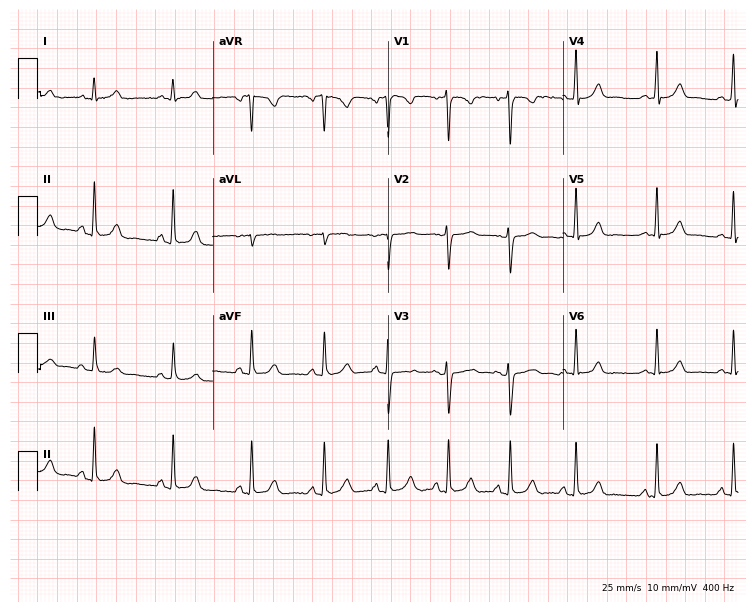
12-lead ECG (7.1-second recording at 400 Hz) from a 22-year-old woman. Screened for six findings — first-degree AV block, right bundle branch block, left bundle branch block, sinus bradycardia, atrial fibrillation, sinus tachycardia — none is recorded.